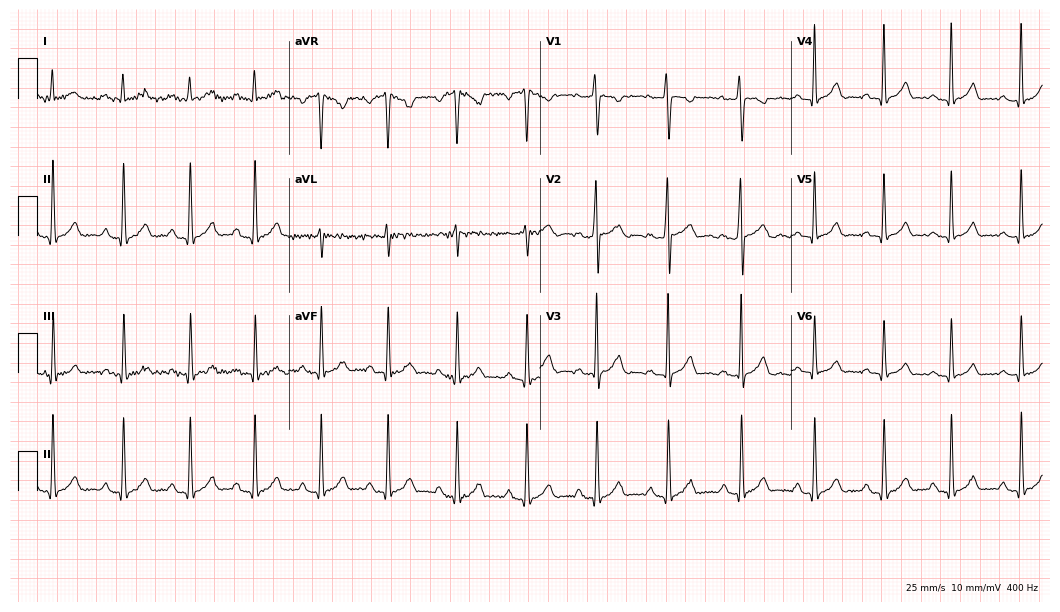
Resting 12-lead electrocardiogram (10.2-second recording at 400 Hz). Patient: an 18-year-old female. Read as a normal ECG.